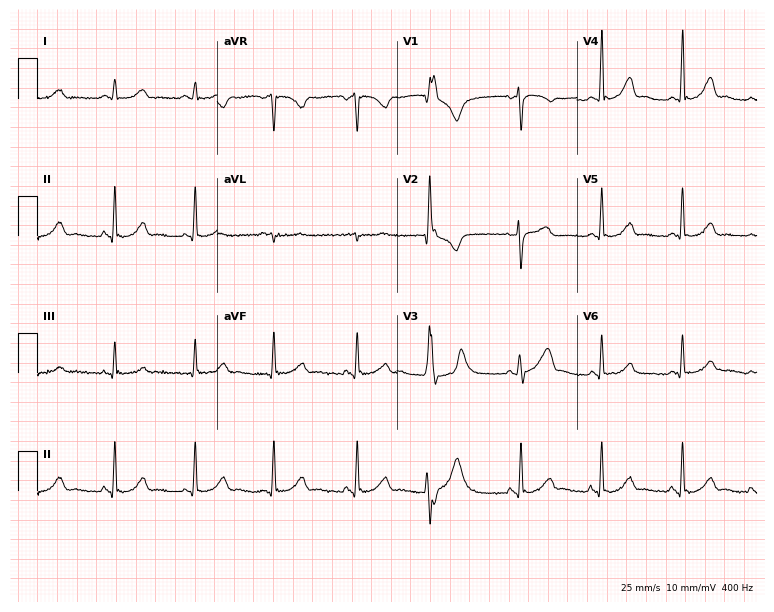
Standard 12-lead ECG recorded from a 52-year-old female. None of these six findings is recorded: first-degree AV block, right bundle branch block, left bundle branch block, sinus bradycardia, atrial fibrillation, sinus tachycardia. Findings outside these six are not listed.